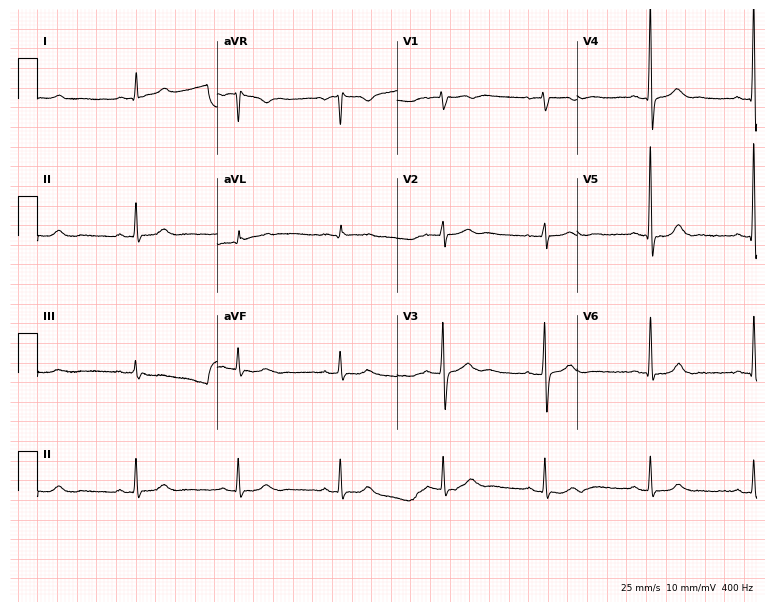
Resting 12-lead electrocardiogram (7.3-second recording at 400 Hz). Patient: a man, 58 years old. None of these six findings is recorded: first-degree AV block, right bundle branch block, left bundle branch block, sinus bradycardia, atrial fibrillation, sinus tachycardia. Findings outside these six are not listed.